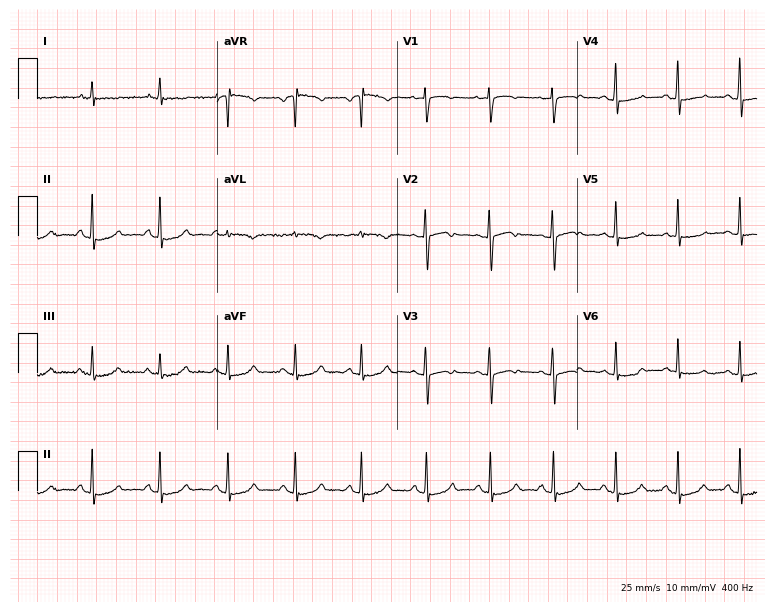
ECG — a female, 64 years old. Screened for six findings — first-degree AV block, right bundle branch block (RBBB), left bundle branch block (LBBB), sinus bradycardia, atrial fibrillation (AF), sinus tachycardia — none is recorded.